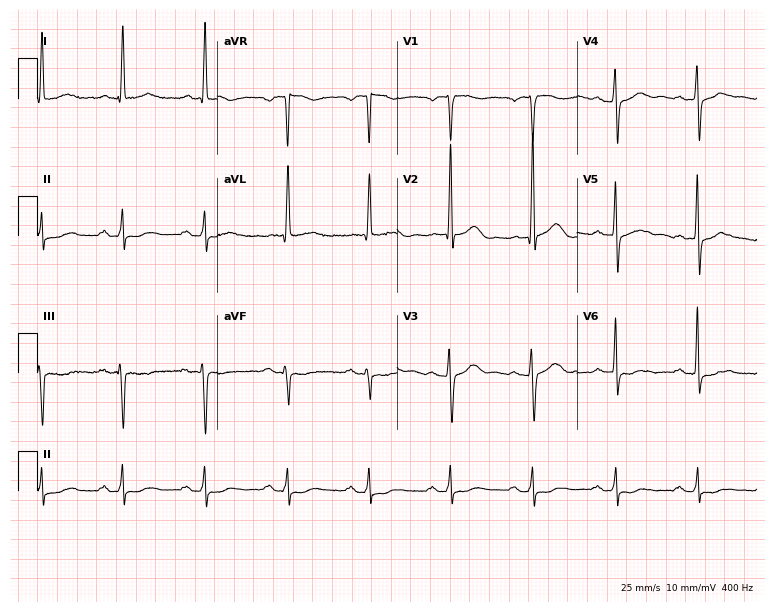
Electrocardiogram (7.3-second recording at 400 Hz), a 68-year-old male patient. Of the six screened findings (first-degree AV block, right bundle branch block, left bundle branch block, sinus bradycardia, atrial fibrillation, sinus tachycardia), none is recorded.